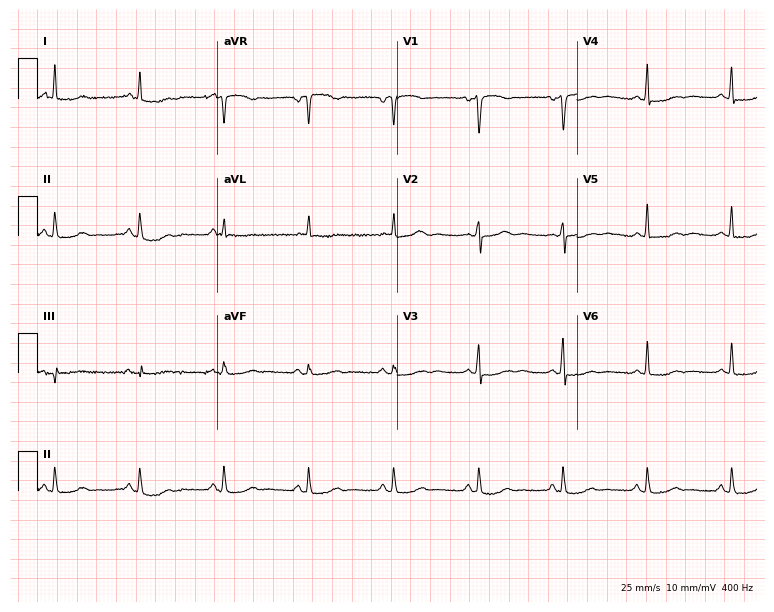
Electrocardiogram, a woman, 56 years old. Of the six screened findings (first-degree AV block, right bundle branch block, left bundle branch block, sinus bradycardia, atrial fibrillation, sinus tachycardia), none is recorded. Findings outside these six are not listed.